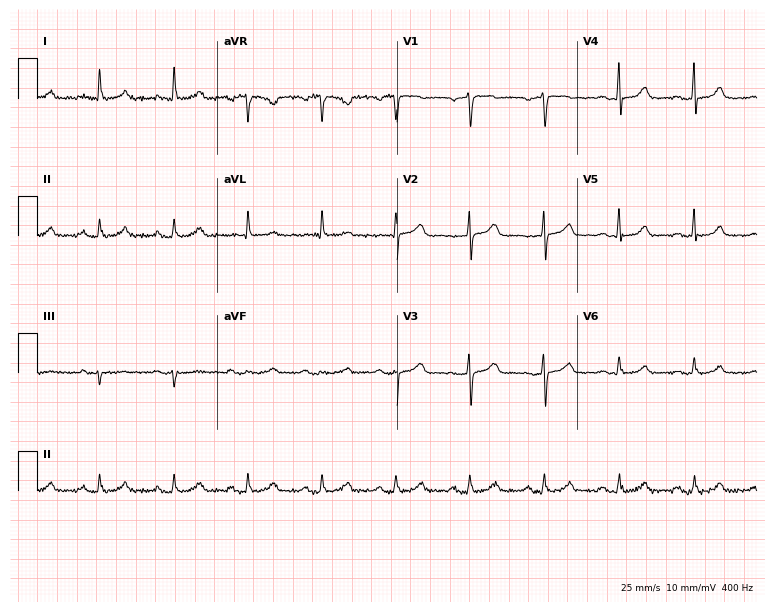
Standard 12-lead ECG recorded from a 53-year-old female. None of these six findings is recorded: first-degree AV block, right bundle branch block (RBBB), left bundle branch block (LBBB), sinus bradycardia, atrial fibrillation (AF), sinus tachycardia.